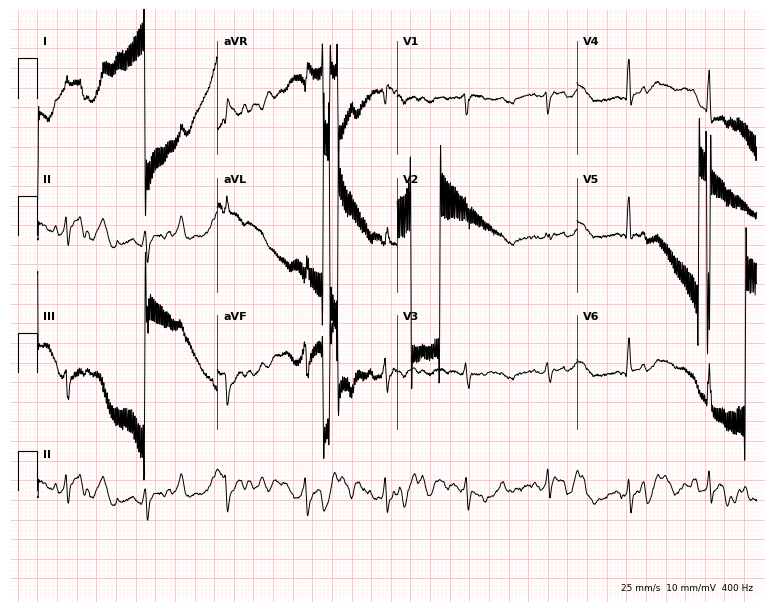
ECG — an 83-year-old male patient. Screened for six findings — first-degree AV block, right bundle branch block, left bundle branch block, sinus bradycardia, atrial fibrillation, sinus tachycardia — none is recorded.